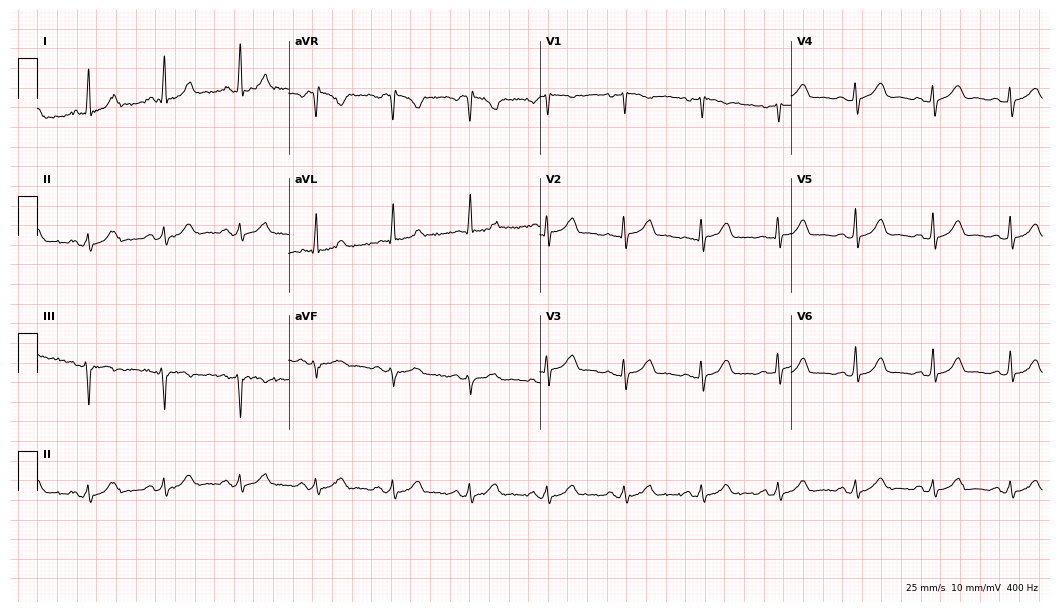
ECG — a woman, 68 years old. Labelled as a normal ECG.